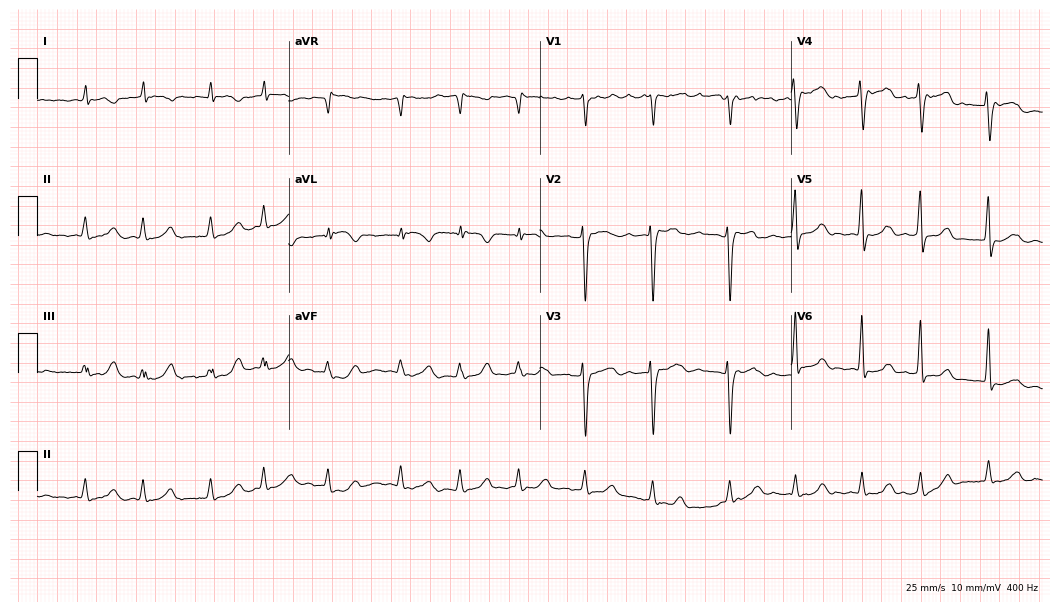
Standard 12-lead ECG recorded from a female patient, 71 years old. The tracing shows atrial fibrillation.